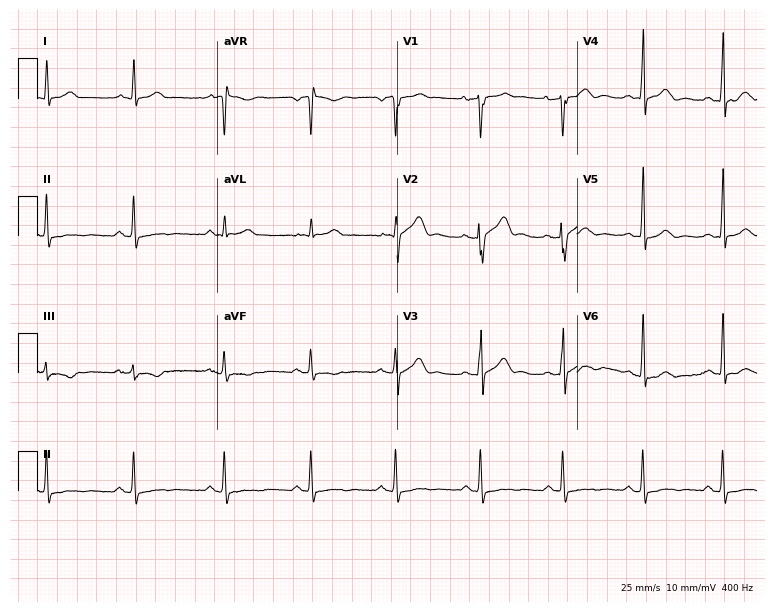
12-lead ECG from a 49-year-old male patient (7.3-second recording at 400 Hz). No first-degree AV block, right bundle branch block, left bundle branch block, sinus bradycardia, atrial fibrillation or sinus tachycardia recorded for this tracing.